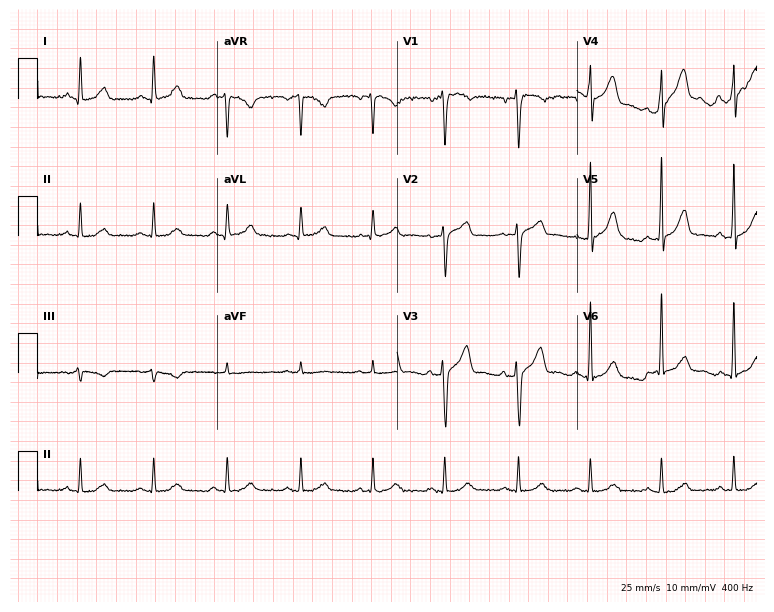
ECG — a male, 42 years old. Labelled as a normal ECG.